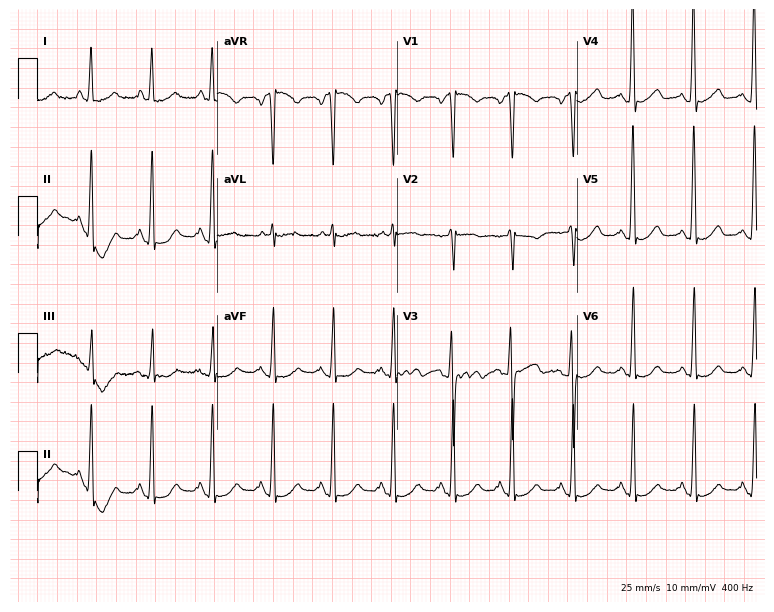
Standard 12-lead ECG recorded from a female, 48 years old (7.3-second recording at 400 Hz). Read as a normal ECG.